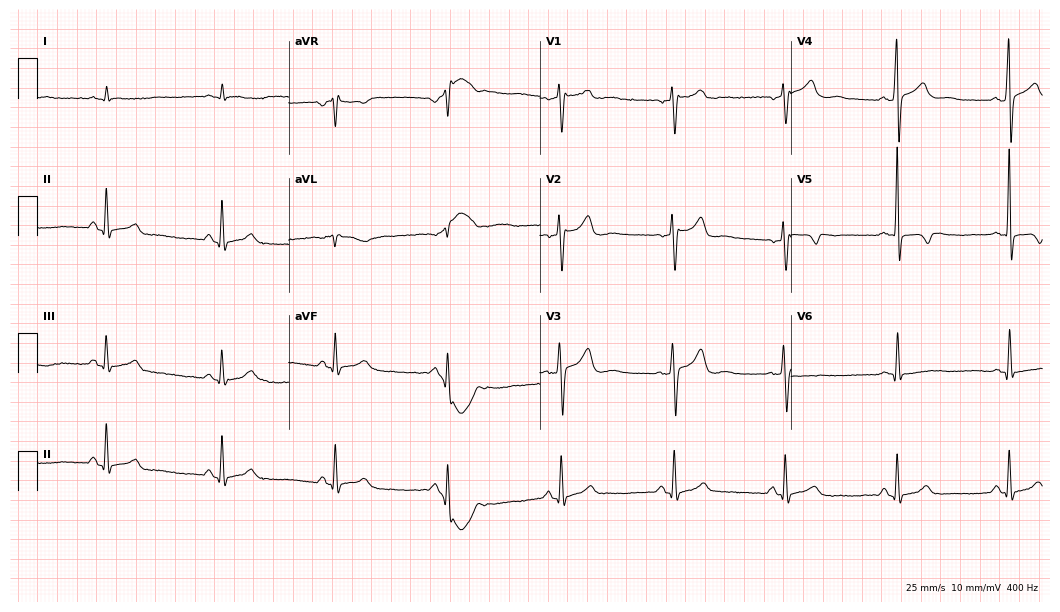
Electrocardiogram, a 62-year-old male patient. Of the six screened findings (first-degree AV block, right bundle branch block, left bundle branch block, sinus bradycardia, atrial fibrillation, sinus tachycardia), none is recorded. Only these six findings were labelled.